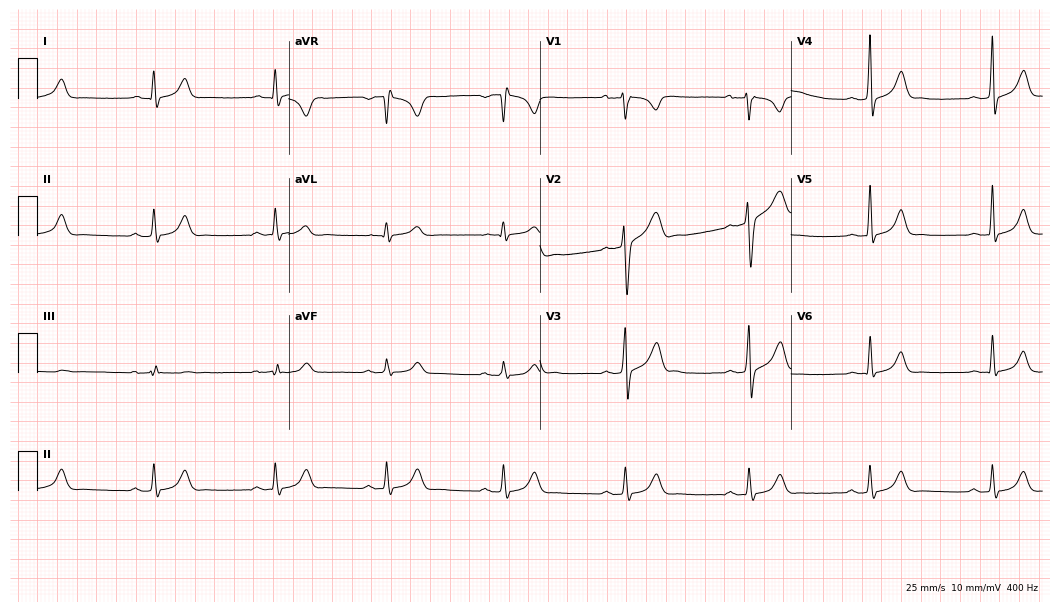
12-lead ECG from a 25-year-old male patient (10.2-second recording at 400 Hz). Shows sinus bradycardia (a sinus rate of 50 beats per minute or less).